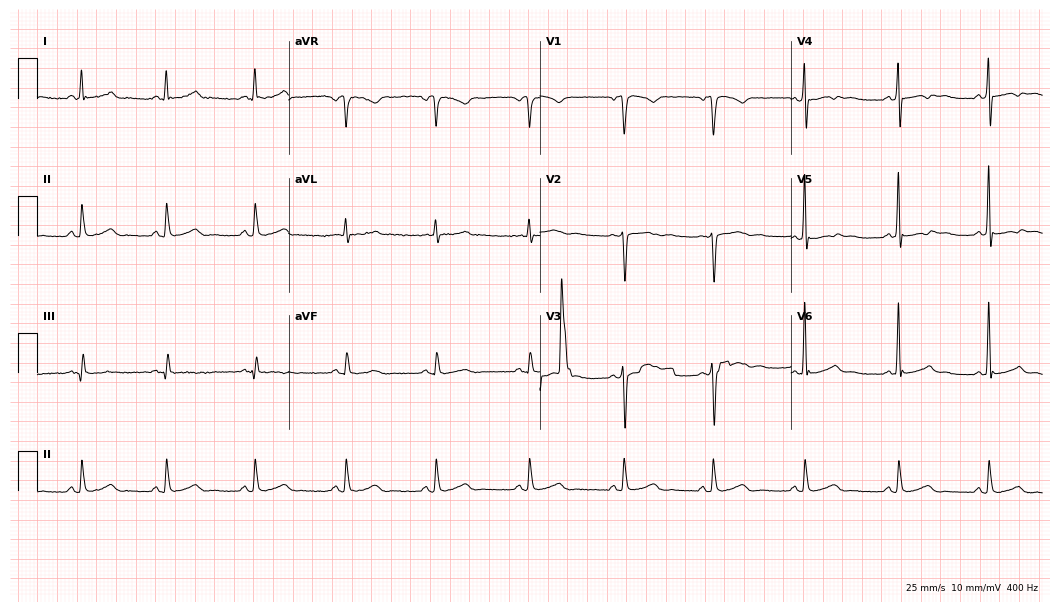
12-lead ECG from a man, 45 years old. Screened for six findings — first-degree AV block, right bundle branch block (RBBB), left bundle branch block (LBBB), sinus bradycardia, atrial fibrillation (AF), sinus tachycardia — none is recorded.